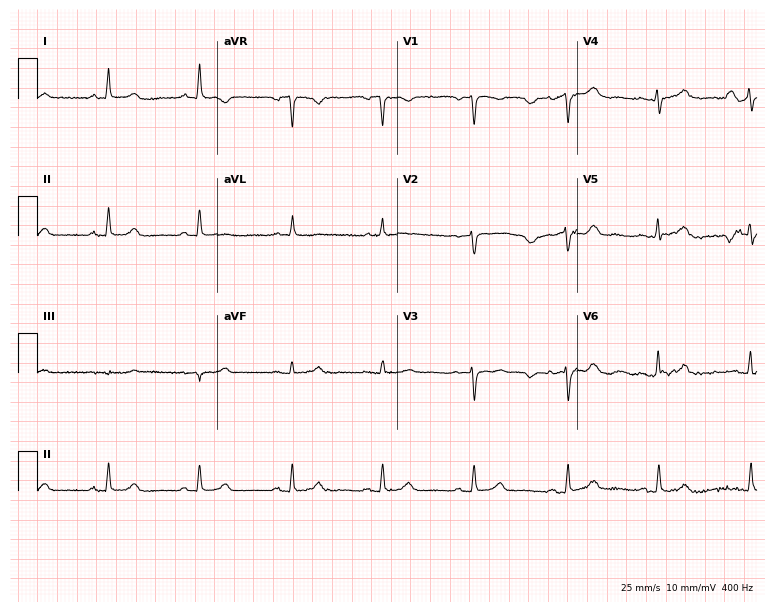
Electrocardiogram, a woman, 76 years old. Of the six screened findings (first-degree AV block, right bundle branch block, left bundle branch block, sinus bradycardia, atrial fibrillation, sinus tachycardia), none is recorded. Findings outside these six are not listed.